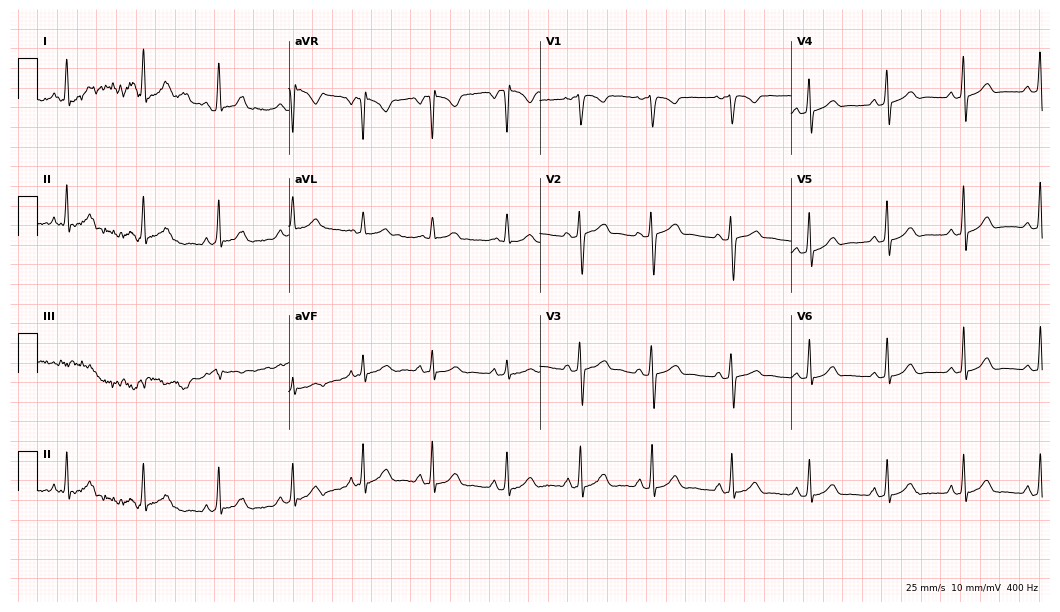
12-lead ECG (10.2-second recording at 400 Hz) from a female patient, 34 years old. Labelled as a normal ECG.